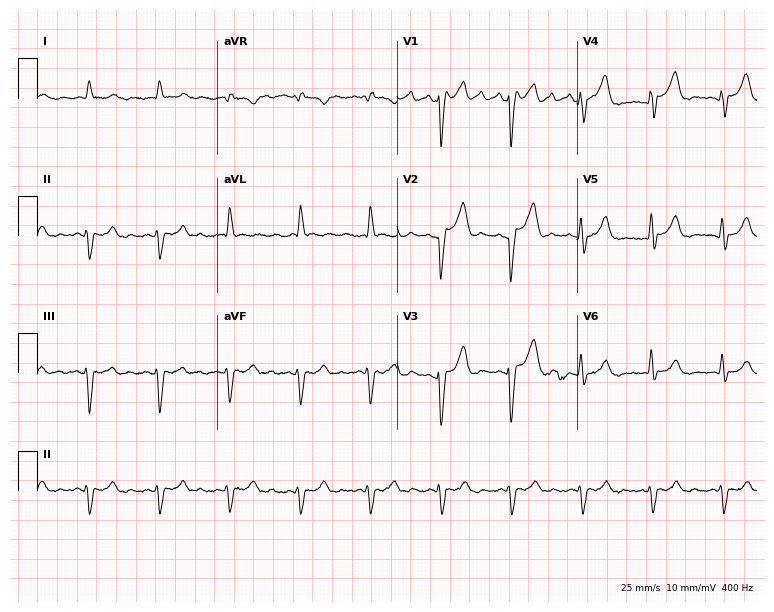
12-lead ECG from an 82-year-old female patient. Screened for six findings — first-degree AV block, right bundle branch block, left bundle branch block, sinus bradycardia, atrial fibrillation, sinus tachycardia — none is recorded.